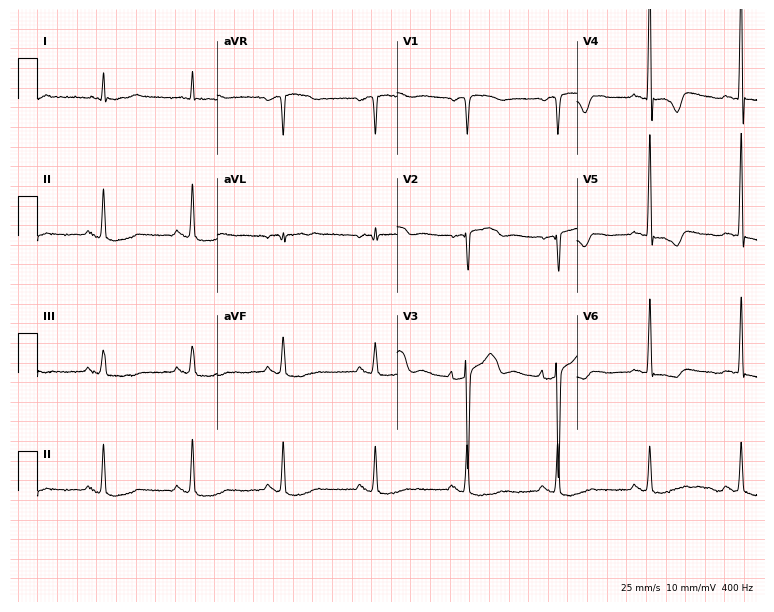
12-lead ECG from a 74-year-old male (7.3-second recording at 400 Hz). No first-degree AV block, right bundle branch block, left bundle branch block, sinus bradycardia, atrial fibrillation or sinus tachycardia recorded for this tracing.